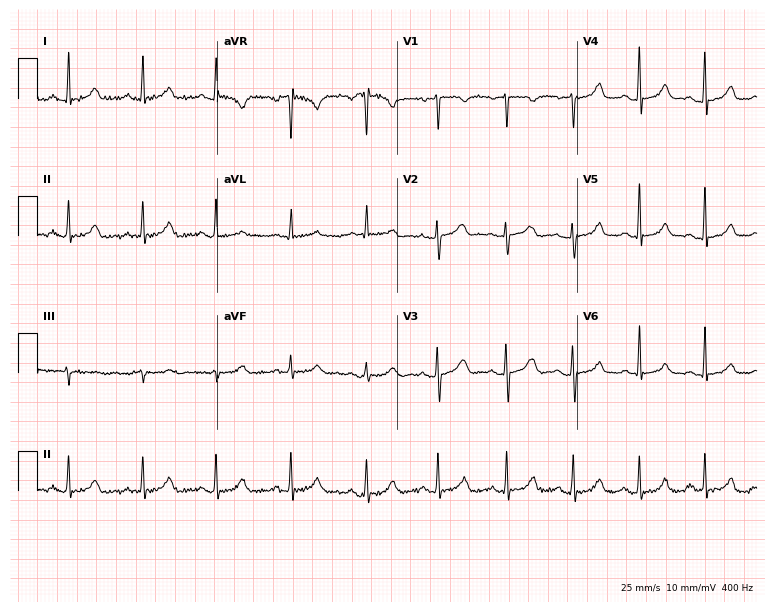
Standard 12-lead ECG recorded from a woman, 44 years old (7.3-second recording at 400 Hz). Read as a normal ECG.